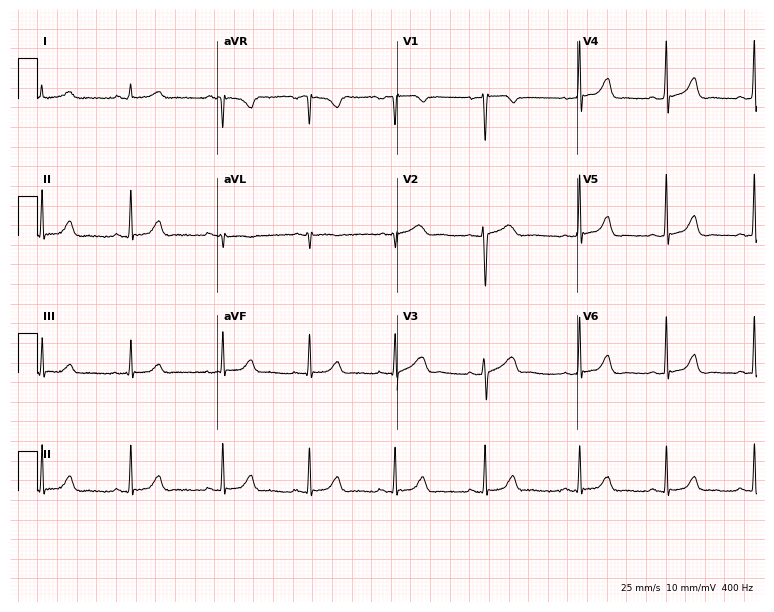
12-lead ECG (7.3-second recording at 400 Hz) from a 49-year-old woman. Labelled as a normal ECG.